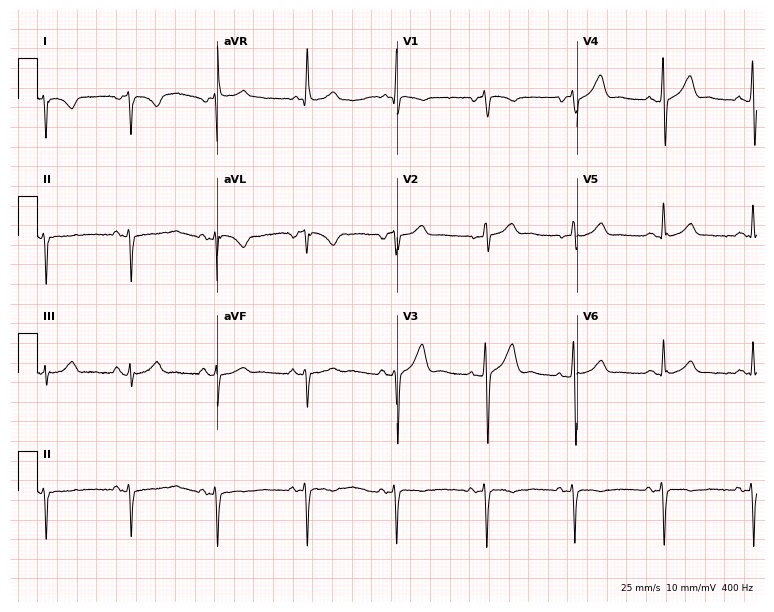
Resting 12-lead electrocardiogram. Patient: a man, 46 years old. None of these six findings is recorded: first-degree AV block, right bundle branch block, left bundle branch block, sinus bradycardia, atrial fibrillation, sinus tachycardia.